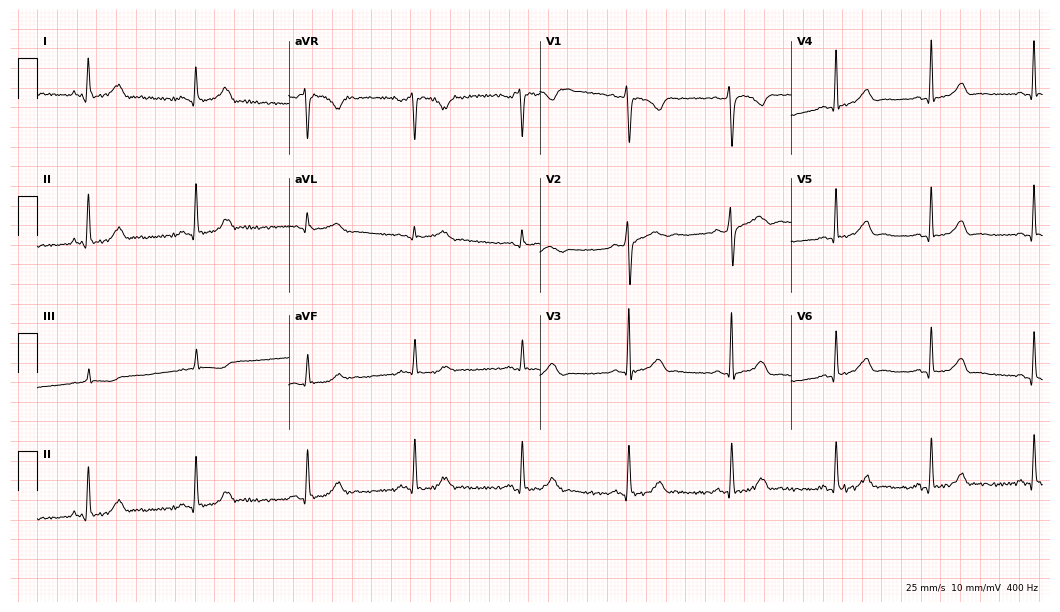
12-lead ECG from a 29-year-old woman. Screened for six findings — first-degree AV block, right bundle branch block (RBBB), left bundle branch block (LBBB), sinus bradycardia, atrial fibrillation (AF), sinus tachycardia — none is recorded.